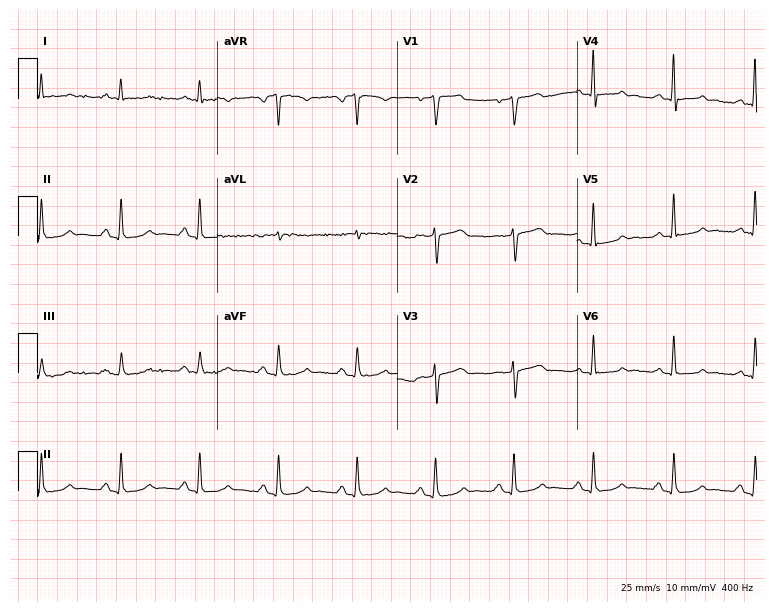
12-lead ECG (7.3-second recording at 400 Hz) from a 62-year-old male. Screened for six findings — first-degree AV block, right bundle branch block, left bundle branch block, sinus bradycardia, atrial fibrillation, sinus tachycardia — none is recorded.